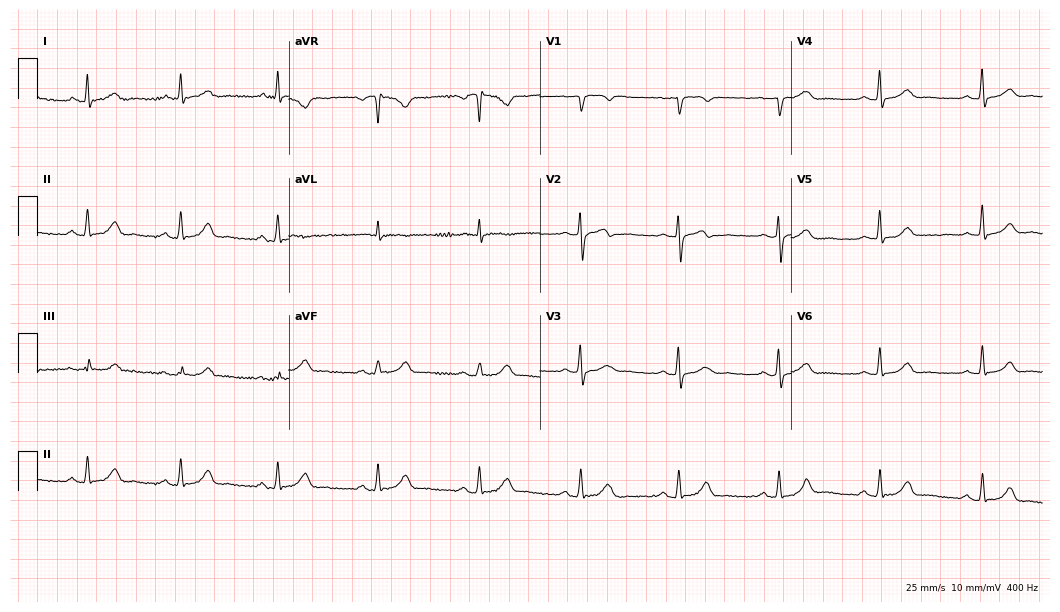
Electrocardiogram, a female patient, 46 years old. Overall reading on record: normal ECG.